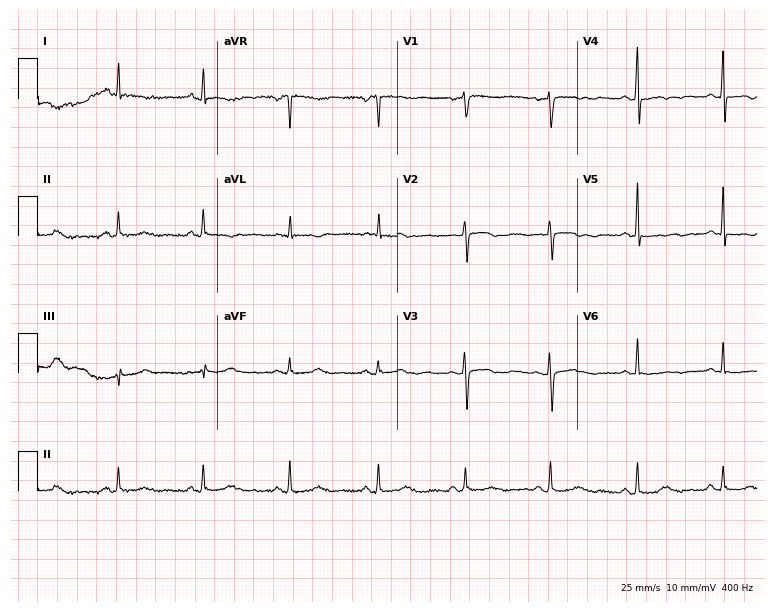
Electrocardiogram (7.3-second recording at 400 Hz), a 73-year-old woman. Of the six screened findings (first-degree AV block, right bundle branch block, left bundle branch block, sinus bradycardia, atrial fibrillation, sinus tachycardia), none is recorded.